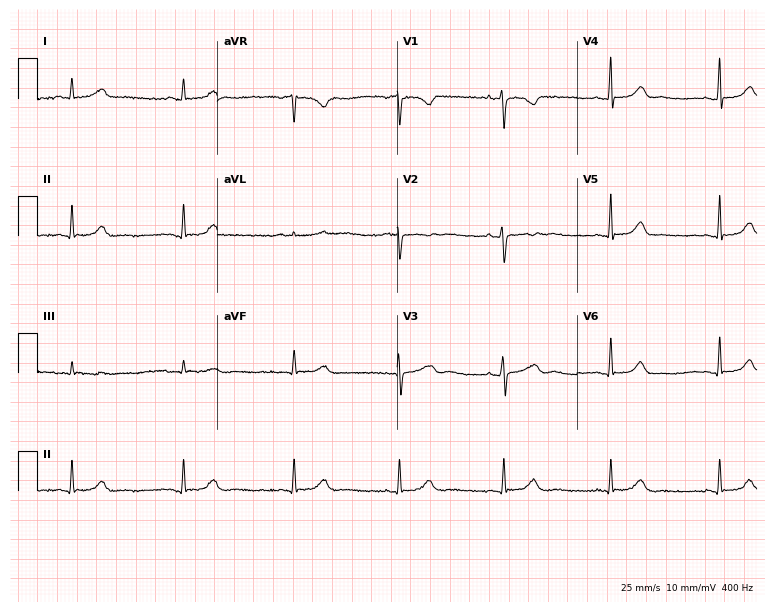
Resting 12-lead electrocardiogram (7.3-second recording at 400 Hz). Patient: a 38-year-old female. Read as a normal ECG.